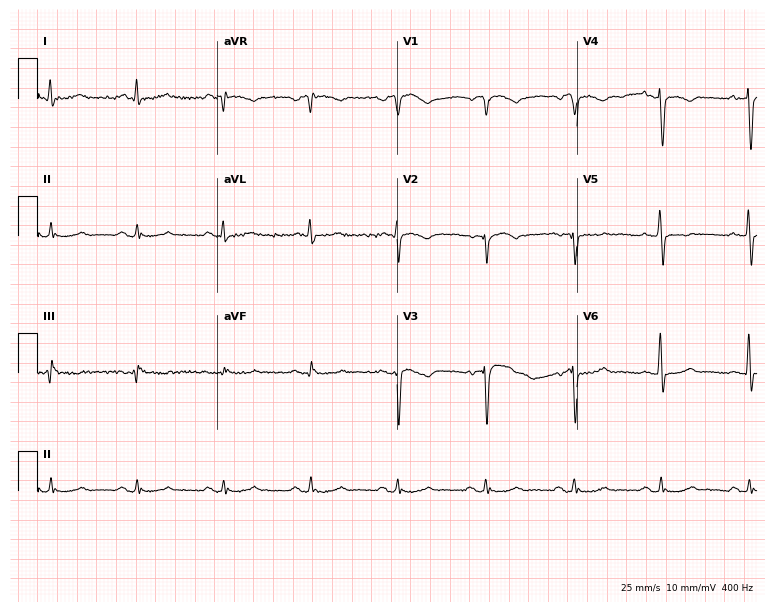
Standard 12-lead ECG recorded from a 63-year-old male patient (7.3-second recording at 400 Hz). None of these six findings is recorded: first-degree AV block, right bundle branch block (RBBB), left bundle branch block (LBBB), sinus bradycardia, atrial fibrillation (AF), sinus tachycardia. Findings outside these six are not listed.